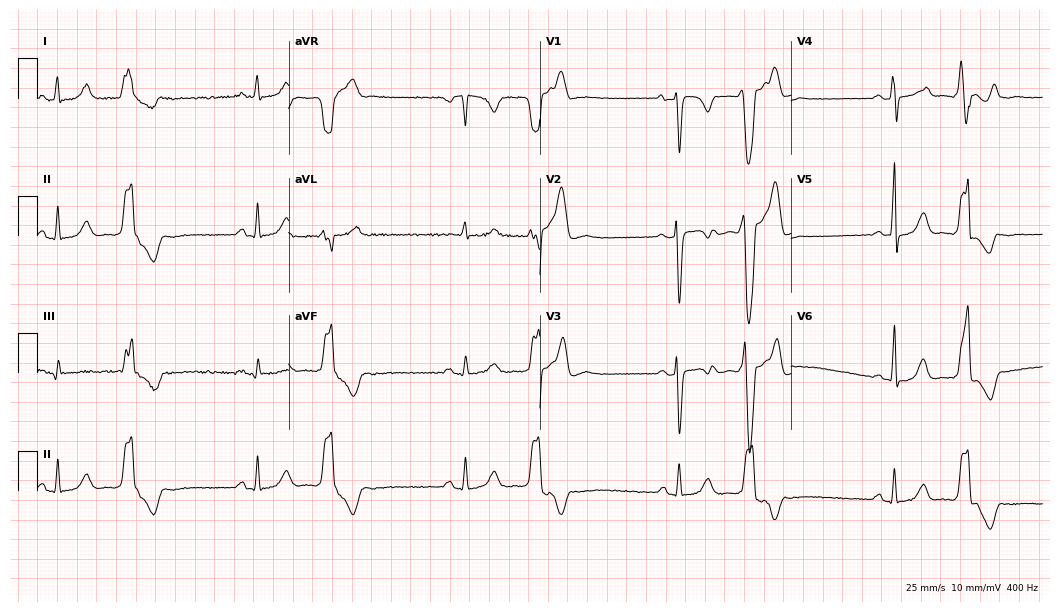
Standard 12-lead ECG recorded from a female, 31 years old. None of these six findings is recorded: first-degree AV block, right bundle branch block, left bundle branch block, sinus bradycardia, atrial fibrillation, sinus tachycardia.